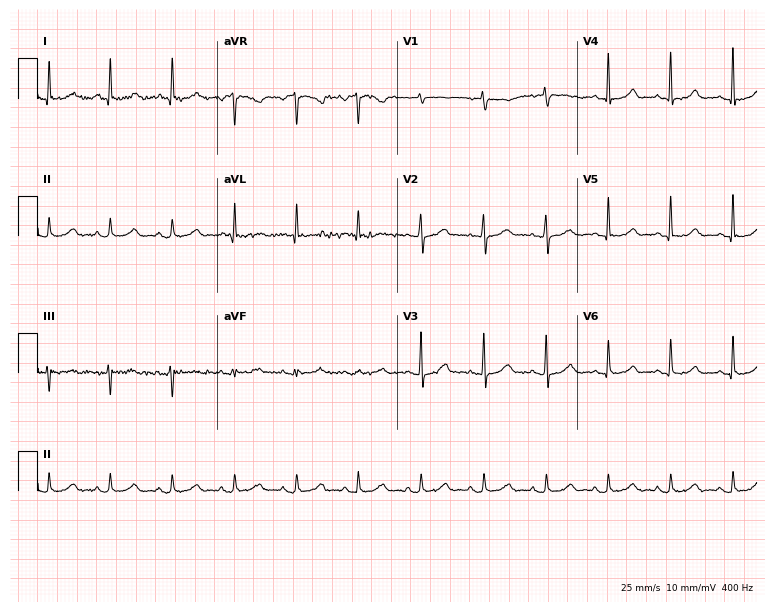
12-lead ECG from a female patient, 72 years old. Screened for six findings — first-degree AV block, right bundle branch block, left bundle branch block, sinus bradycardia, atrial fibrillation, sinus tachycardia — none is recorded.